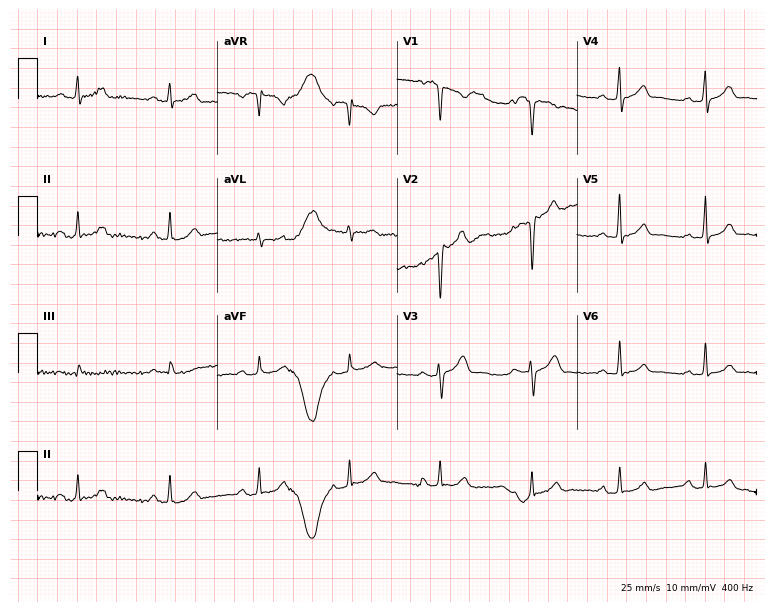
Standard 12-lead ECG recorded from a man, 40 years old (7.3-second recording at 400 Hz). None of these six findings is recorded: first-degree AV block, right bundle branch block, left bundle branch block, sinus bradycardia, atrial fibrillation, sinus tachycardia. Findings outside these six are not listed.